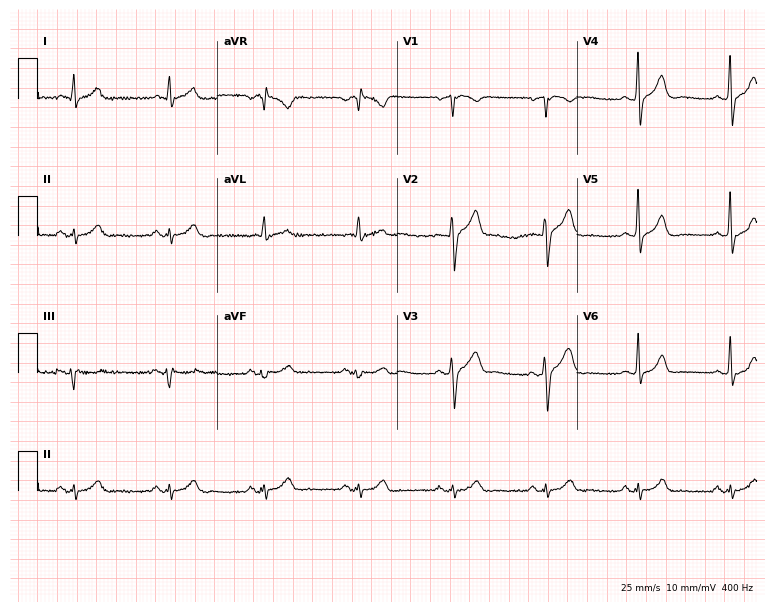
Resting 12-lead electrocardiogram (7.3-second recording at 400 Hz). Patient: a 66-year-old male. Read as a normal ECG.